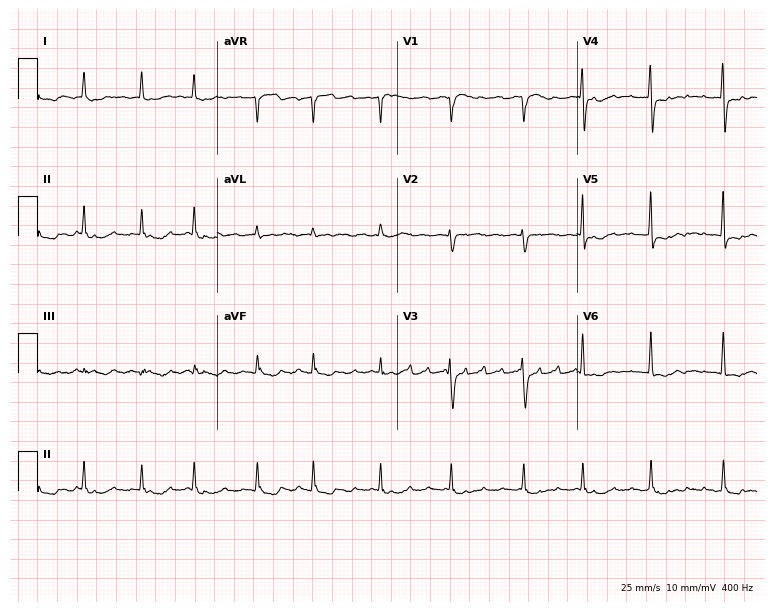
ECG (7.3-second recording at 400 Hz) — an 81-year-old woman. Findings include atrial fibrillation.